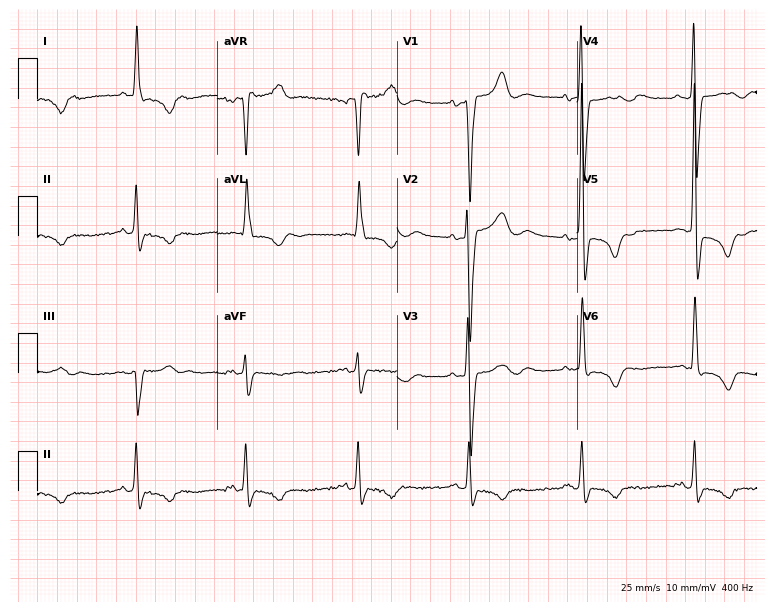
Electrocardiogram, a male patient, 70 years old. Interpretation includes left bundle branch block.